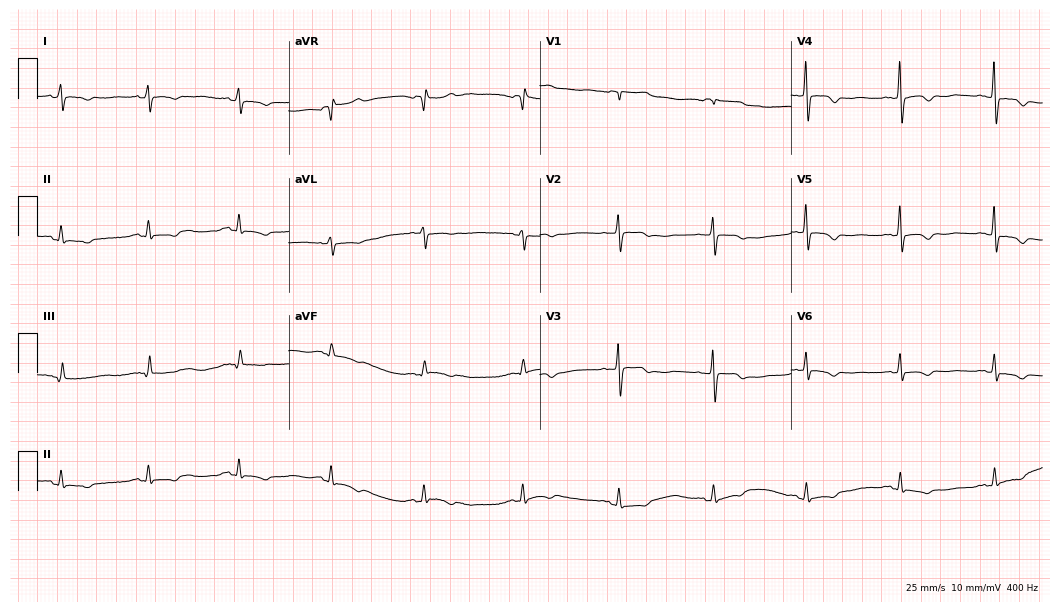
ECG (10.2-second recording at 400 Hz) — a woman, 65 years old. Screened for six findings — first-degree AV block, right bundle branch block, left bundle branch block, sinus bradycardia, atrial fibrillation, sinus tachycardia — none is recorded.